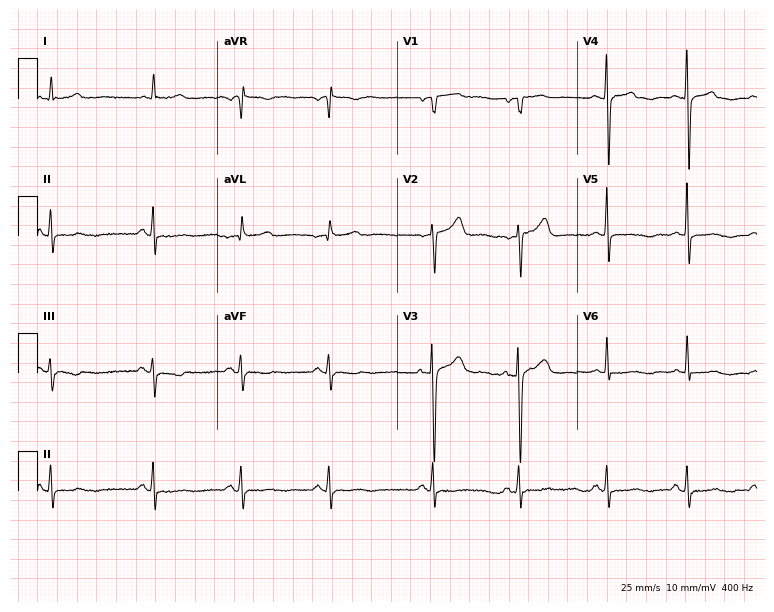
12-lead ECG (7.3-second recording at 400 Hz) from a 74-year-old female. Screened for six findings — first-degree AV block, right bundle branch block, left bundle branch block, sinus bradycardia, atrial fibrillation, sinus tachycardia — none is recorded. Only these six findings were labelled.